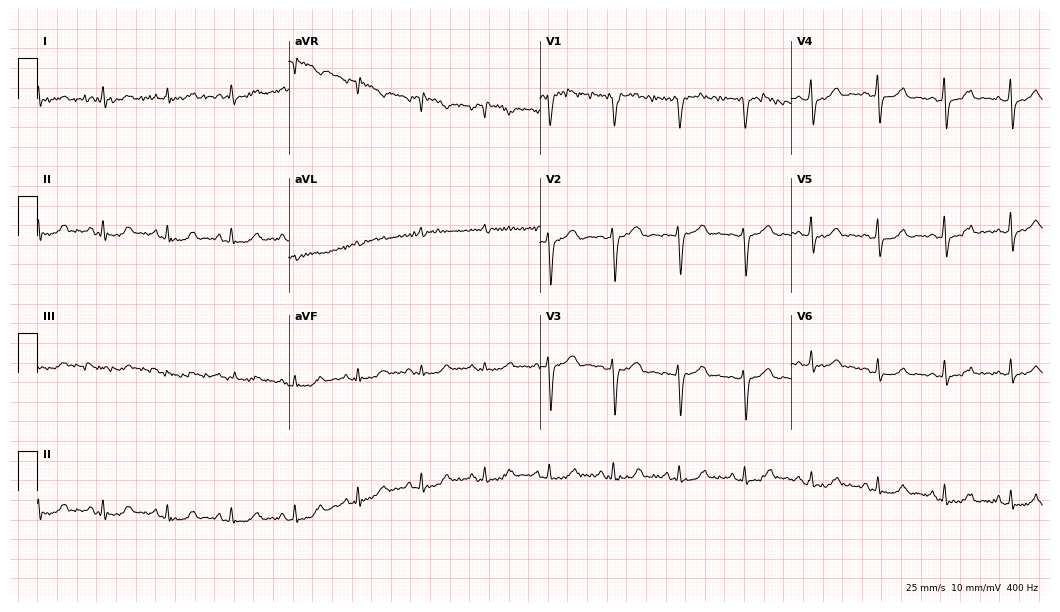
Standard 12-lead ECG recorded from a man, 57 years old (10.2-second recording at 400 Hz). None of these six findings is recorded: first-degree AV block, right bundle branch block, left bundle branch block, sinus bradycardia, atrial fibrillation, sinus tachycardia. Only these six findings were labelled.